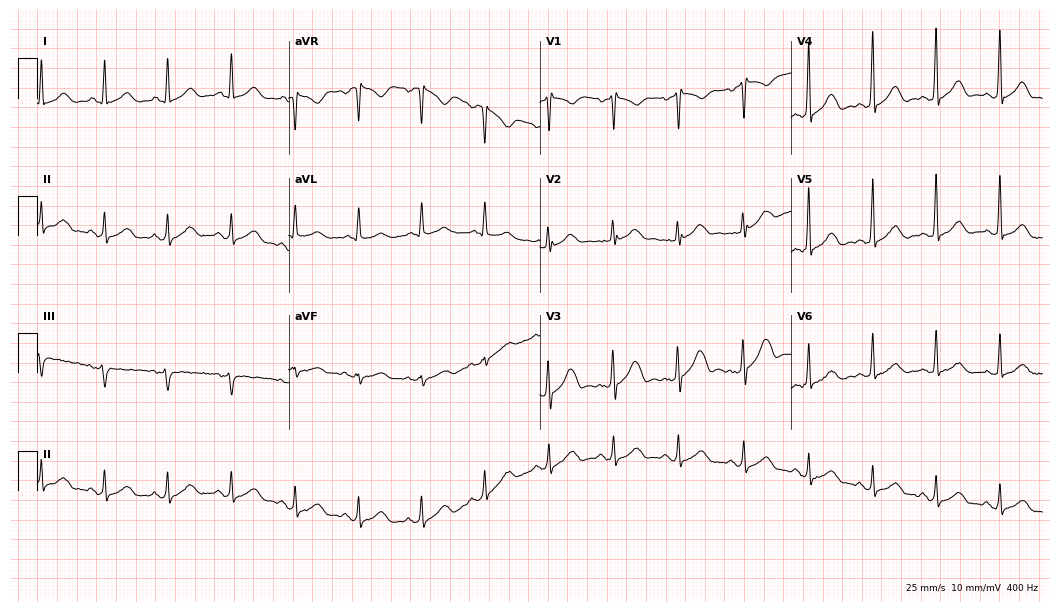
Electrocardiogram, a female patient, 47 years old. Overall reading on record: normal ECG.